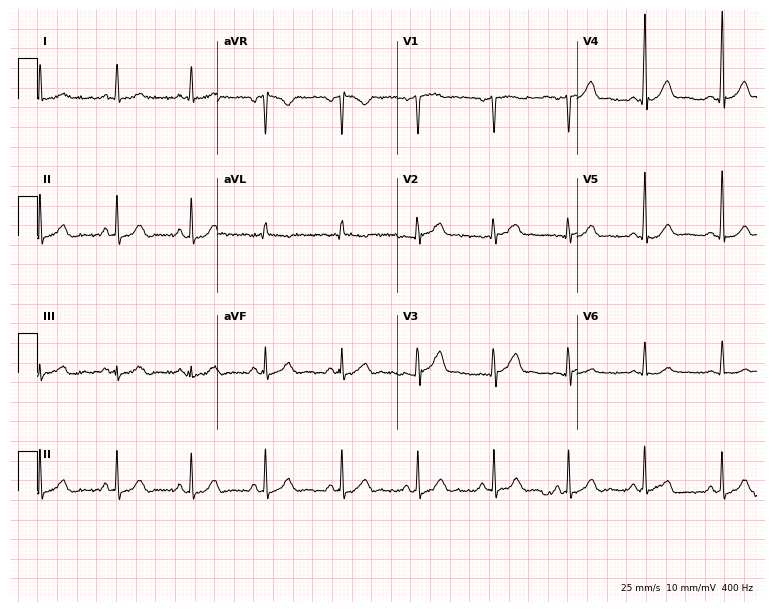
12-lead ECG from a 52-year-old male patient (7.3-second recording at 400 Hz). Recorded interpretation: within normal limits.